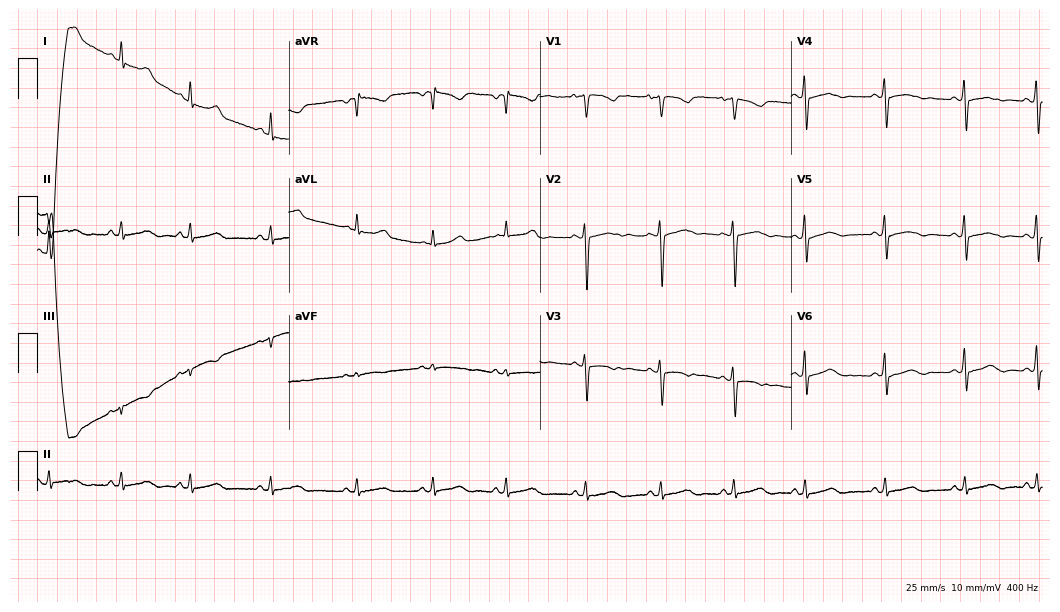
ECG (10.2-second recording at 400 Hz) — a 28-year-old woman. Labelled as a normal ECG.